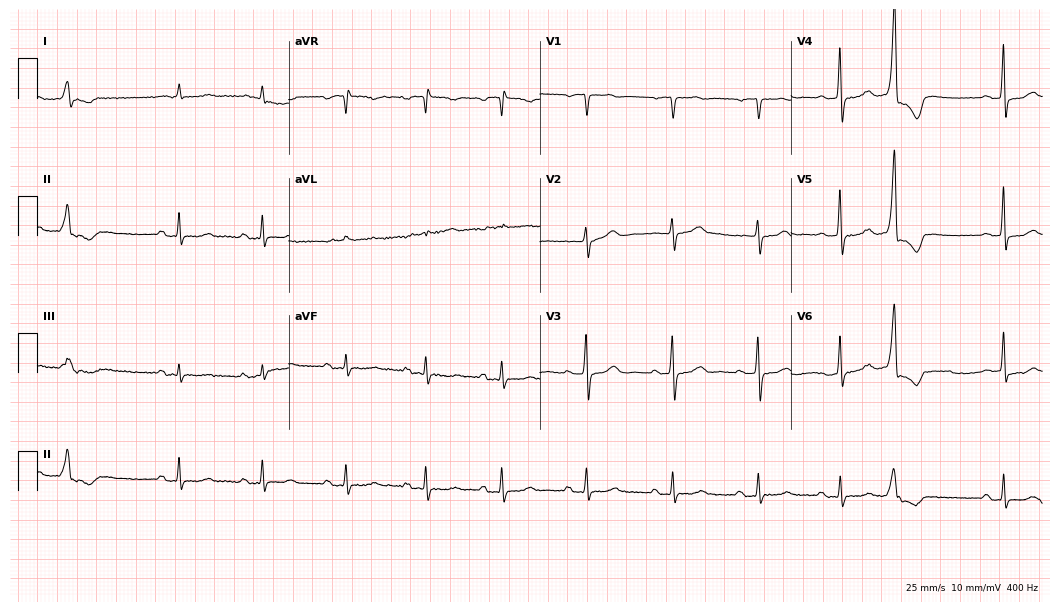
Resting 12-lead electrocardiogram. Patient: an 83-year-old female. None of these six findings is recorded: first-degree AV block, right bundle branch block, left bundle branch block, sinus bradycardia, atrial fibrillation, sinus tachycardia.